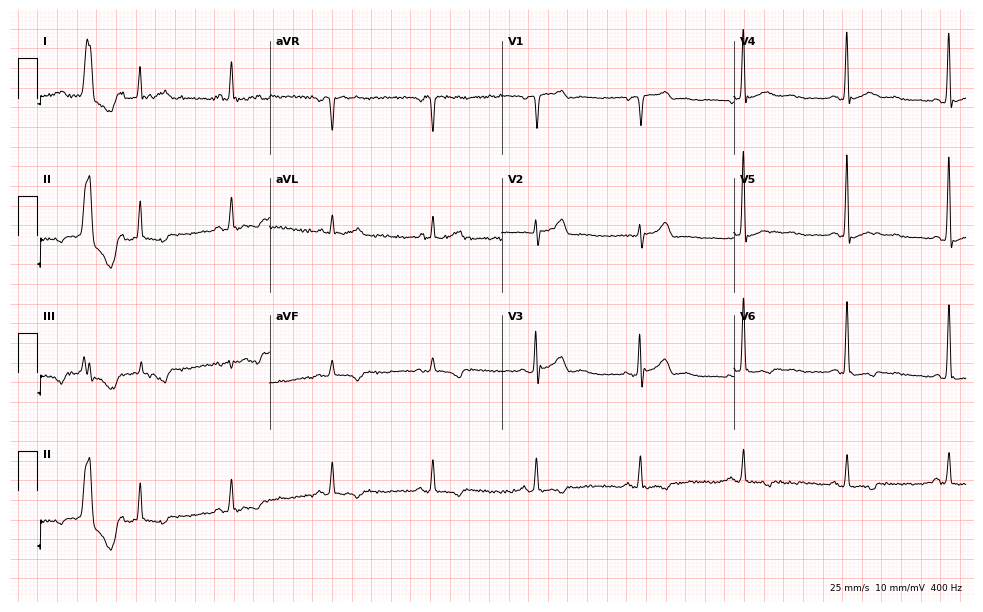
12-lead ECG from a male patient, 53 years old. Screened for six findings — first-degree AV block, right bundle branch block, left bundle branch block, sinus bradycardia, atrial fibrillation, sinus tachycardia — none is recorded. Only these six findings were labelled.